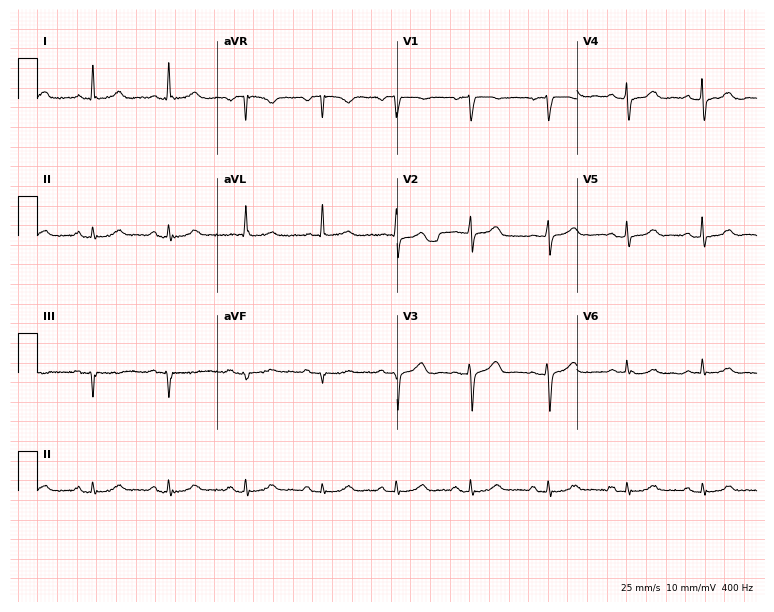
12-lead ECG from a 56-year-old female patient. Labelled as a normal ECG.